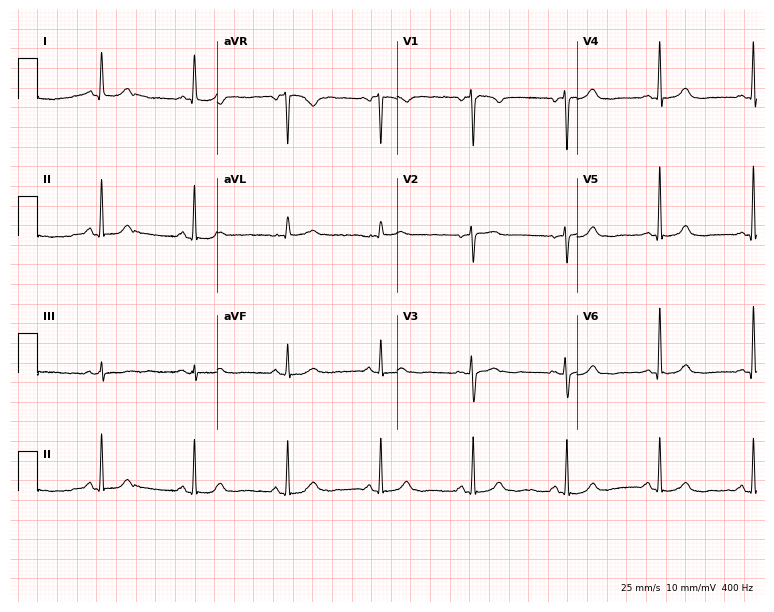
Resting 12-lead electrocardiogram (7.3-second recording at 400 Hz). Patient: a female, 63 years old. Read as a normal ECG.